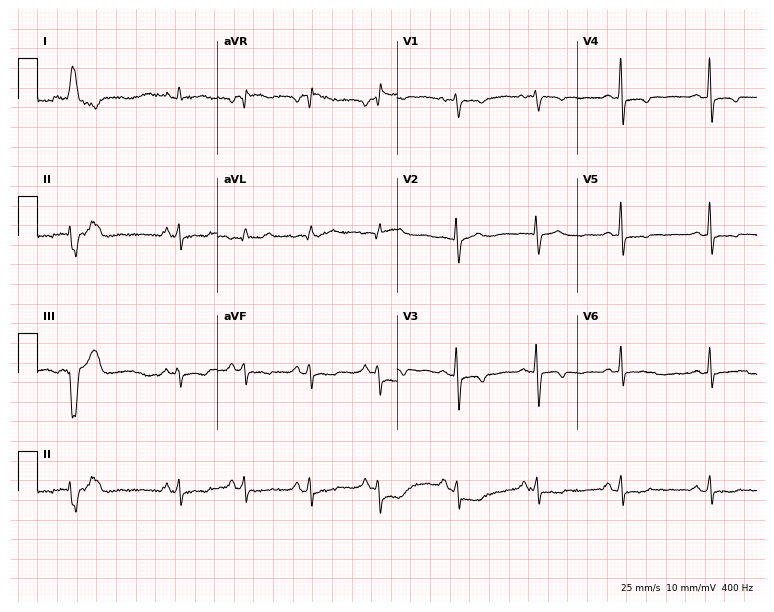
Resting 12-lead electrocardiogram. Patient: a 27-year-old female. None of these six findings is recorded: first-degree AV block, right bundle branch block, left bundle branch block, sinus bradycardia, atrial fibrillation, sinus tachycardia. Only these six findings were labelled.